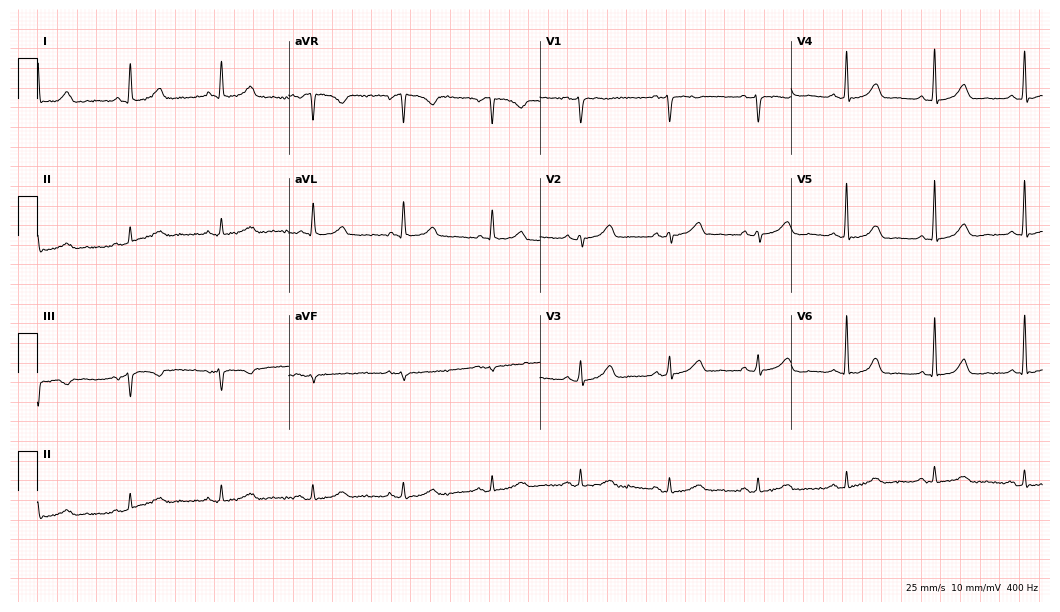
Electrocardiogram, a female patient, 54 years old. Overall reading on record: normal ECG.